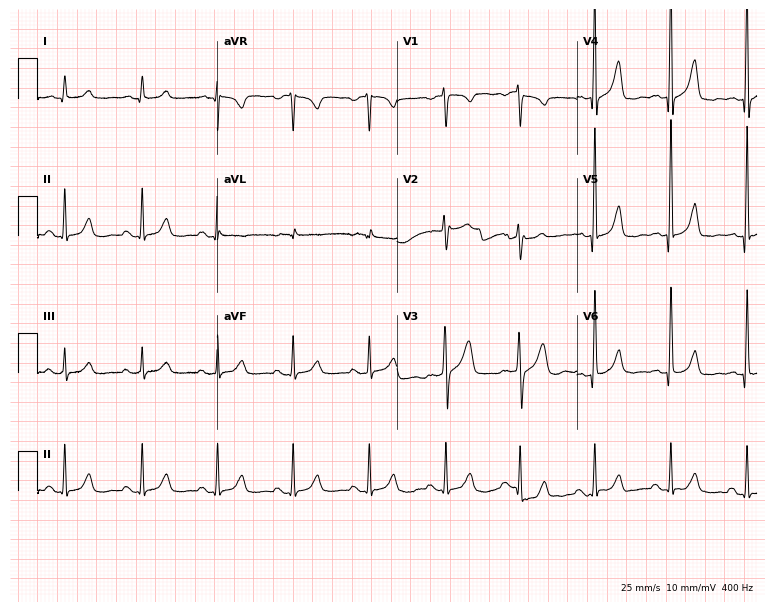
Electrocardiogram, a man, 47 years old. Overall reading on record: normal ECG.